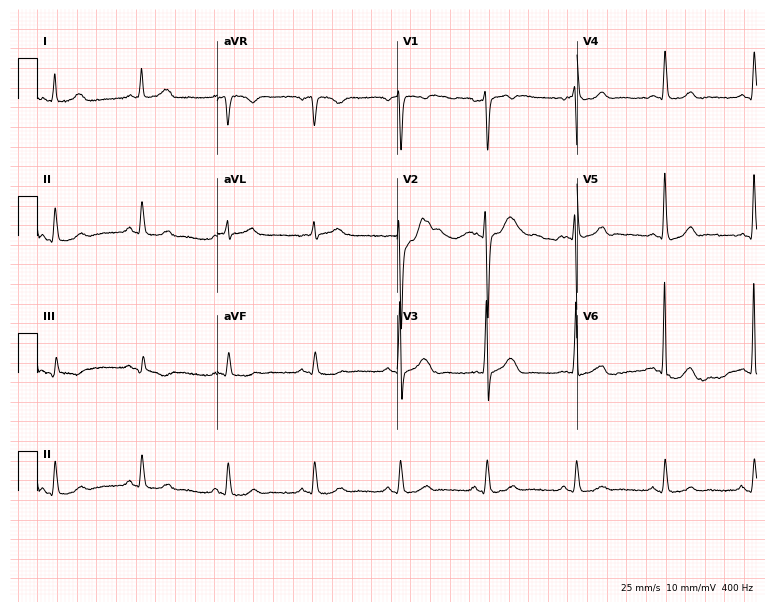
Standard 12-lead ECG recorded from a man, 57 years old. Read as a normal ECG.